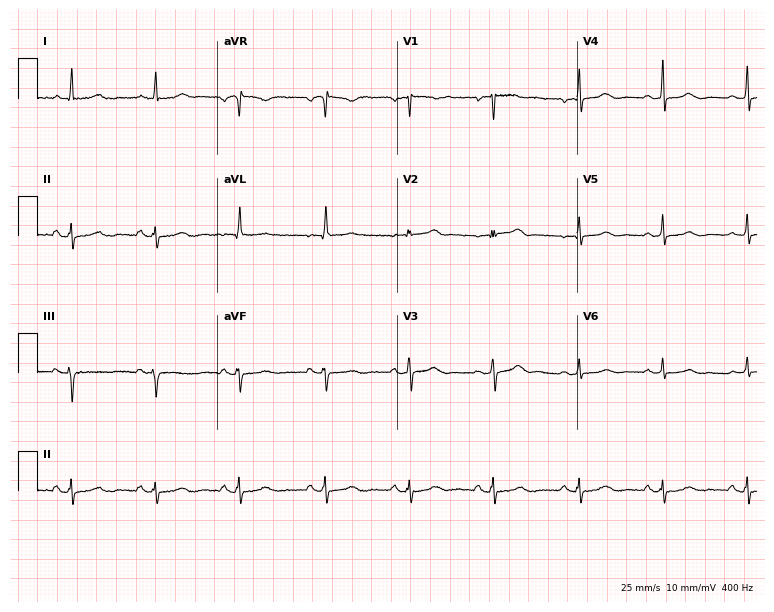
Standard 12-lead ECG recorded from a 36-year-old female patient. None of these six findings is recorded: first-degree AV block, right bundle branch block (RBBB), left bundle branch block (LBBB), sinus bradycardia, atrial fibrillation (AF), sinus tachycardia.